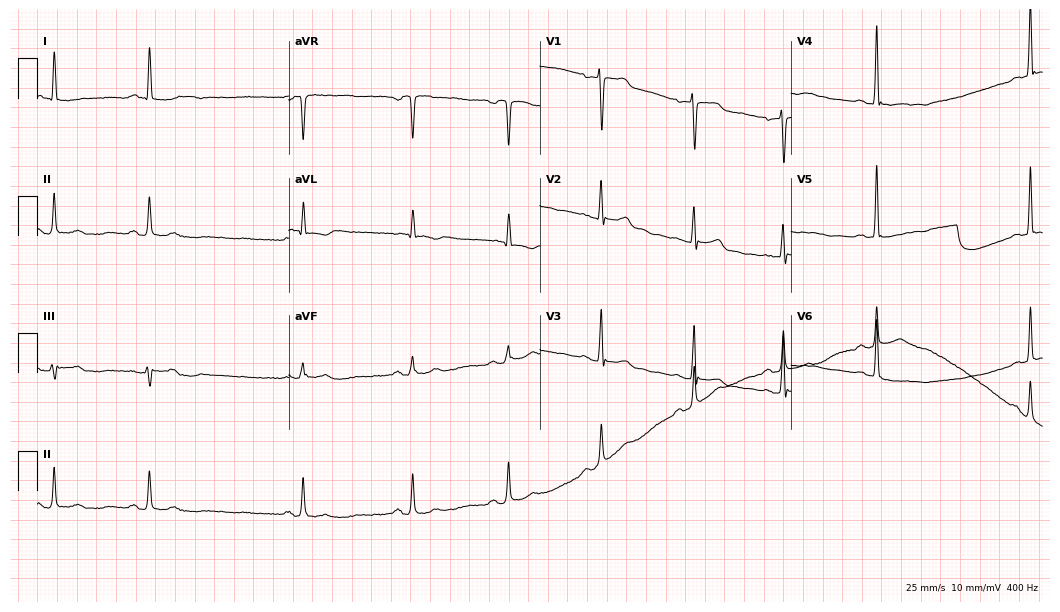
12-lead ECG from a female, 66 years old (10.2-second recording at 400 Hz). No first-degree AV block, right bundle branch block, left bundle branch block, sinus bradycardia, atrial fibrillation or sinus tachycardia recorded for this tracing. Other findings, if any, are not listed.